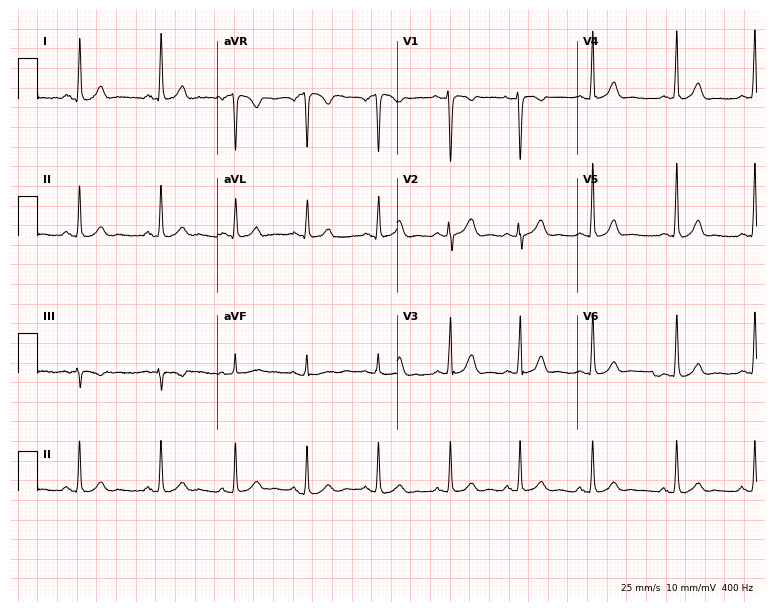
Resting 12-lead electrocardiogram. Patient: a 31-year-old female. Read as a normal ECG.